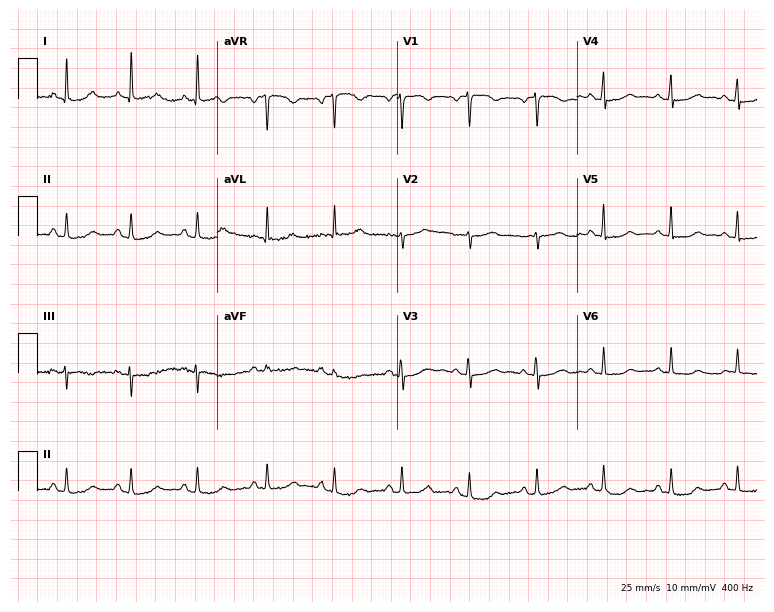
Electrocardiogram, a 49-year-old woman. Overall reading on record: normal ECG.